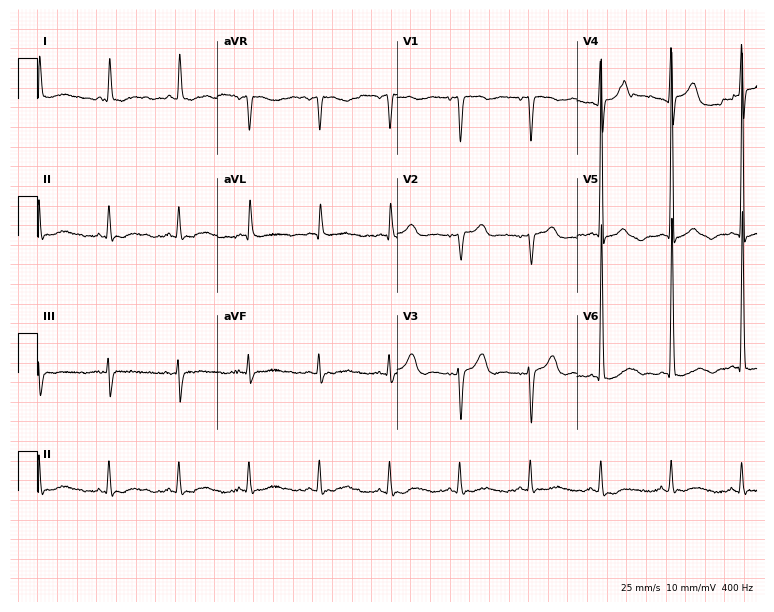
ECG — an 85-year-old female. Screened for six findings — first-degree AV block, right bundle branch block, left bundle branch block, sinus bradycardia, atrial fibrillation, sinus tachycardia — none is recorded.